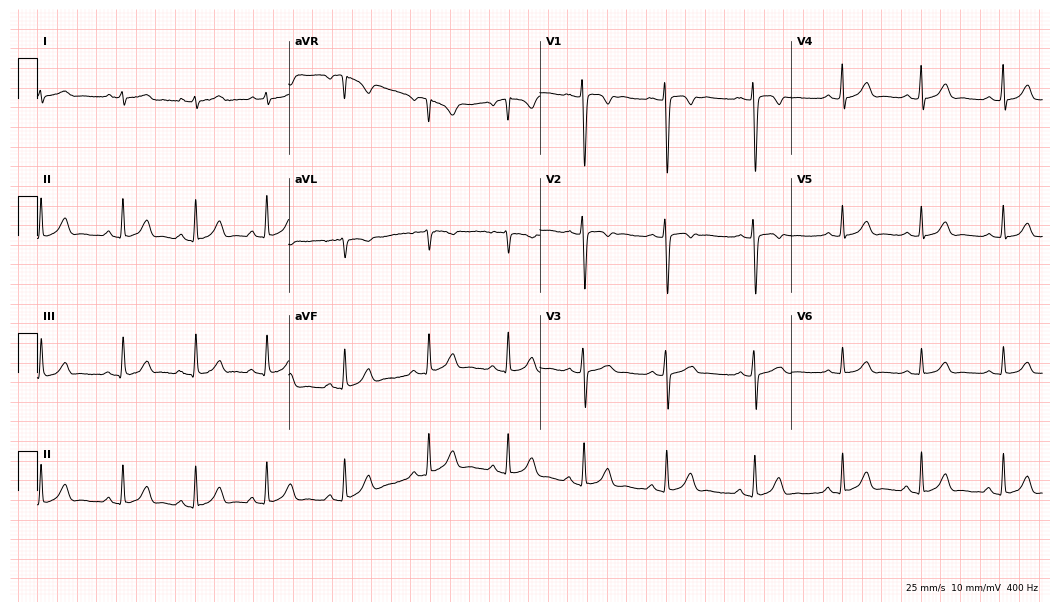
Resting 12-lead electrocardiogram. Patient: a woman, 27 years old. None of these six findings is recorded: first-degree AV block, right bundle branch block, left bundle branch block, sinus bradycardia, atrial fibrillation, sinus tachycardia.